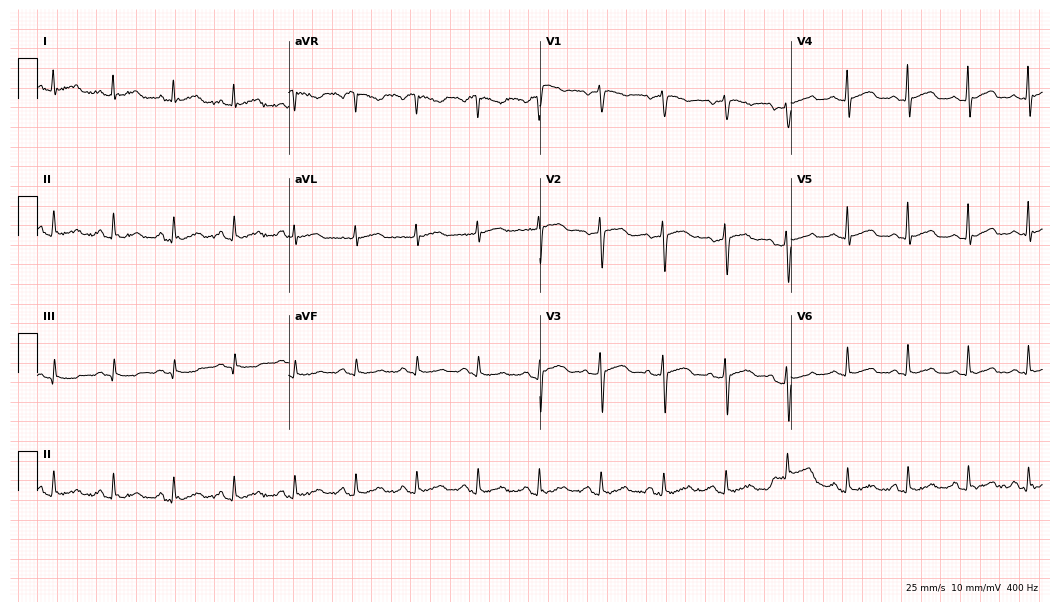
Electrocardiogram, a 55-year-old woman. Overall reading on record: normal ECG.